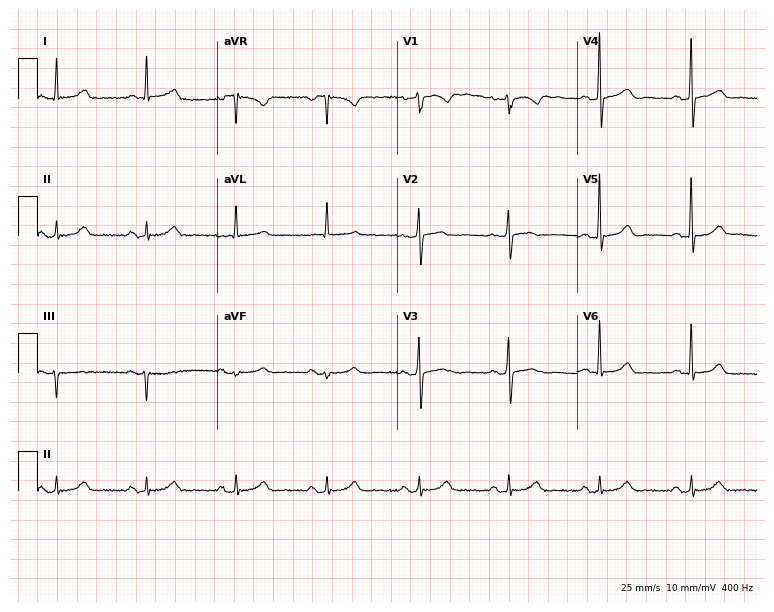
ECG — a female, 77 years old. Labelled as a normal ECG.